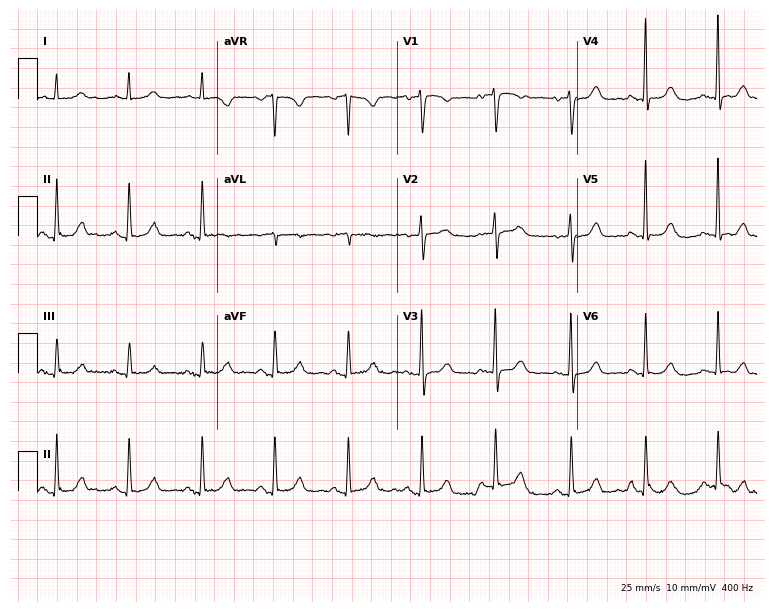
ECG (7.3-second recording at 400 Hz) — a woman, 53 years old. Labelled as a normal ECG.